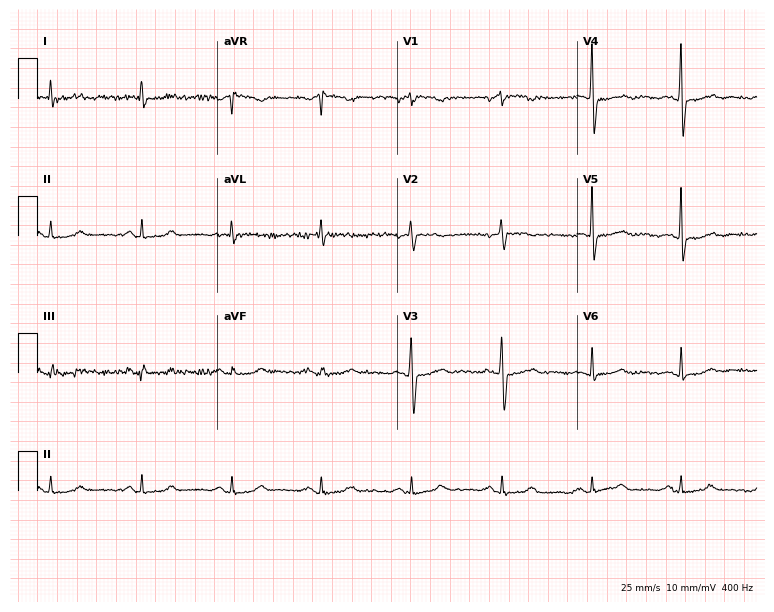
Electrocardiogram (7.3-second recording at 400 Hz), a woman, 58 years old. Overall reading on record: normal ECG.